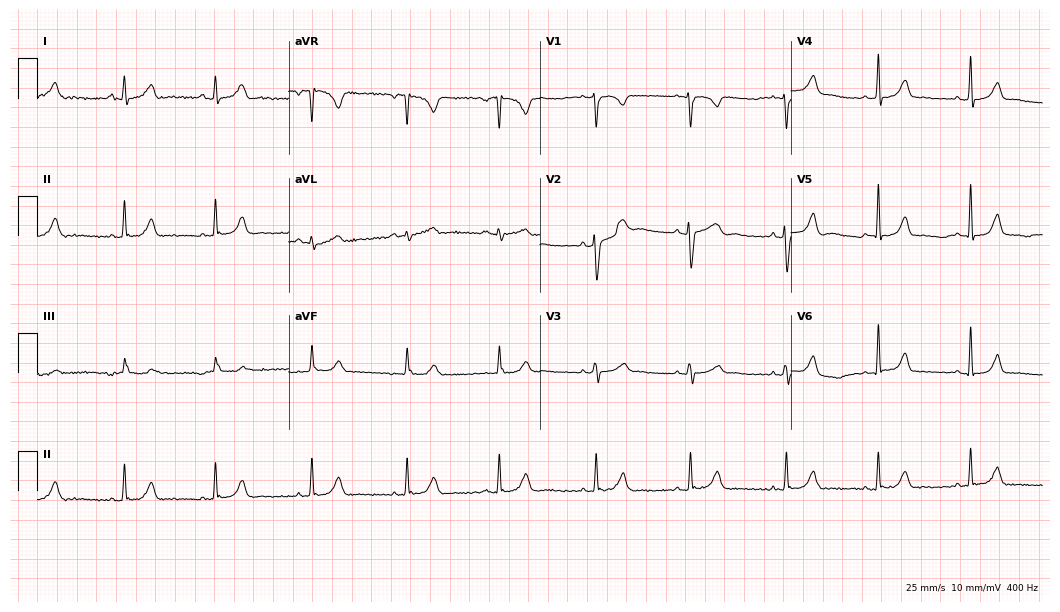
ECG (10.2-second recording at 400 Hz) — a 29-year-old female patient. Screened for six findings — first-degree AV block, right bundle branch block (RBBB), left bundle branch block (LBBB), sinus bradycardia, atrial fibrillation (AF), sinus tachycardia — none is recorded. Findings outside these six are not listed.